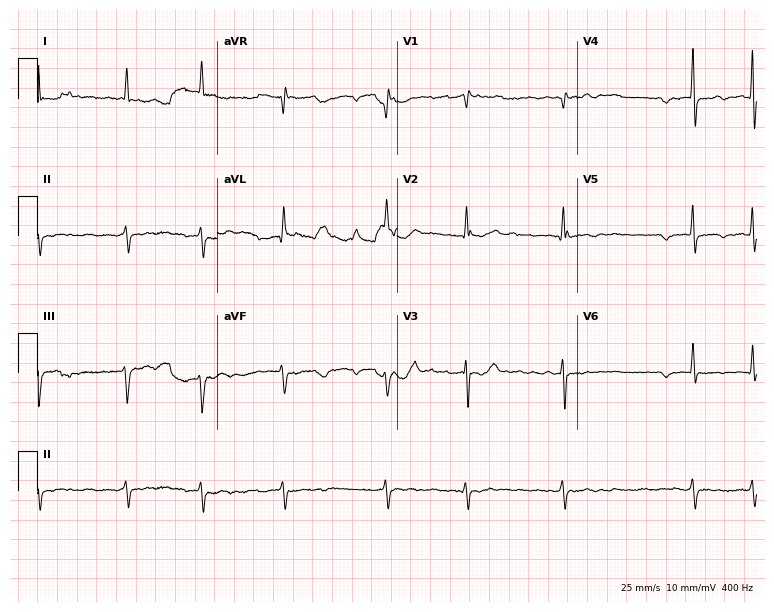
ECG — a 71-year-old woman. Findings include atrial fibrillation.